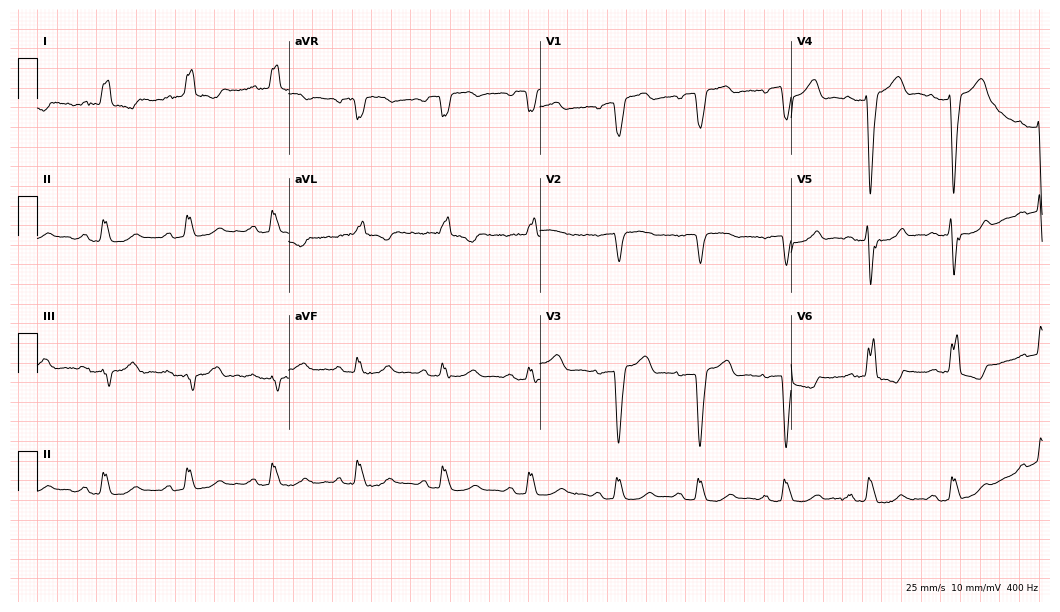
Electrocardiogram (10.2-second recording at 400 Hz), a 41-year-old male. Interpretation includes left bundle branch block.